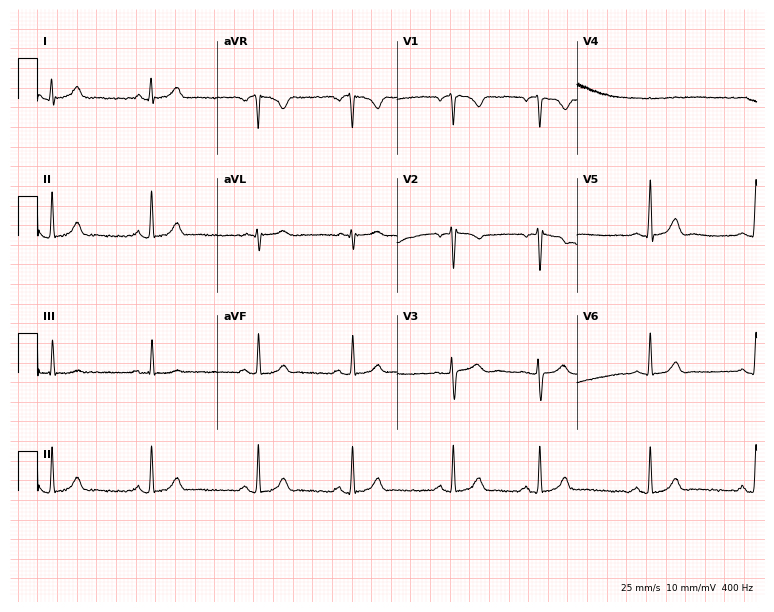
12-lead ECG from a 22-year-old female. No first-degree AV block, right bundle branch block (RBBB), left bundle branch block (LBBB), sinus bradycardia, atrial fibrillation (AF) or sinus tachycardia recorded for this tracing.